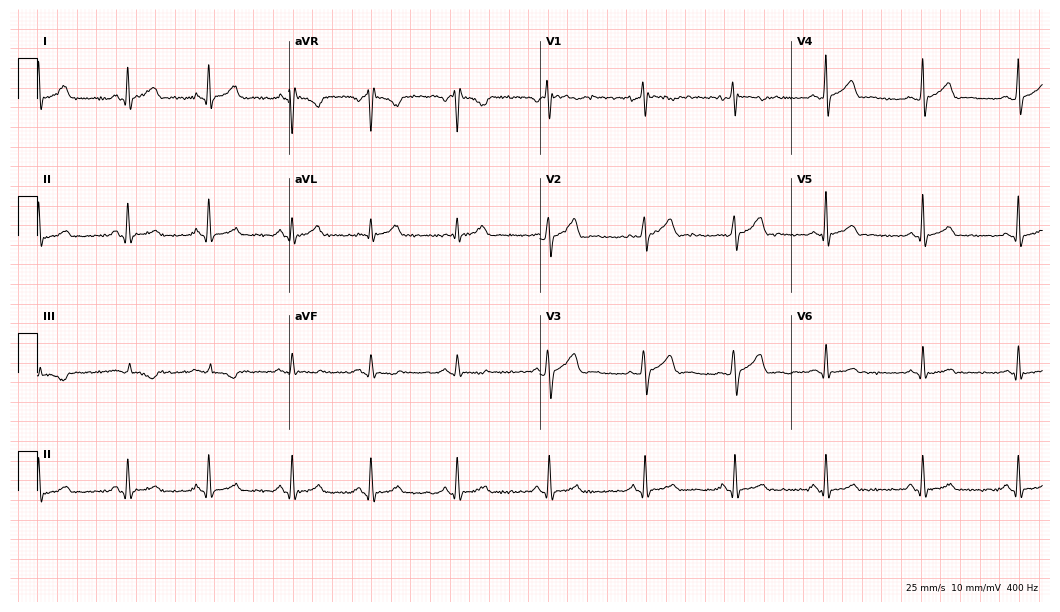
ECG (10.2-second recording at 400 Hz) — a 33-year-old female. Screened for six findings — first-degree AV block, right bundle branch block, left bundle branch block, sinus bradycardia, atrial fibrillation, sinus tachycardia — none is recorded.